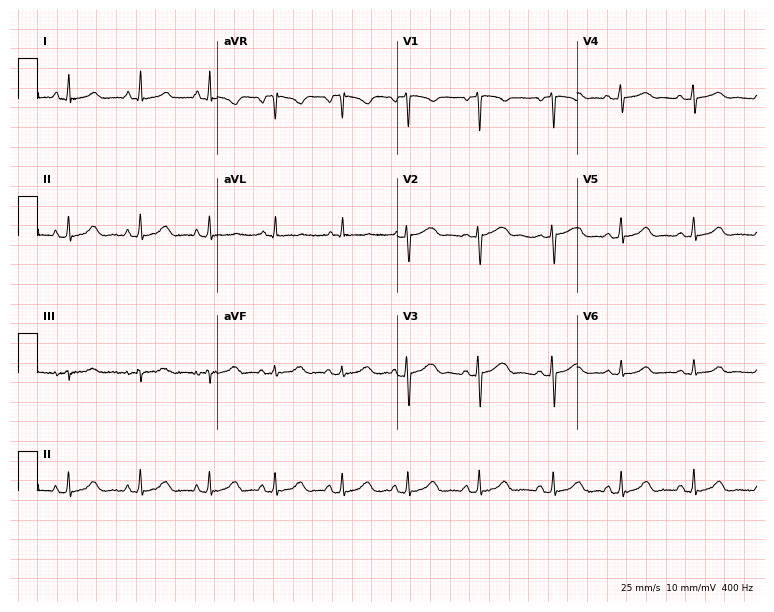
ECG — a female, 33 years old. Labelled as a normal ECG.